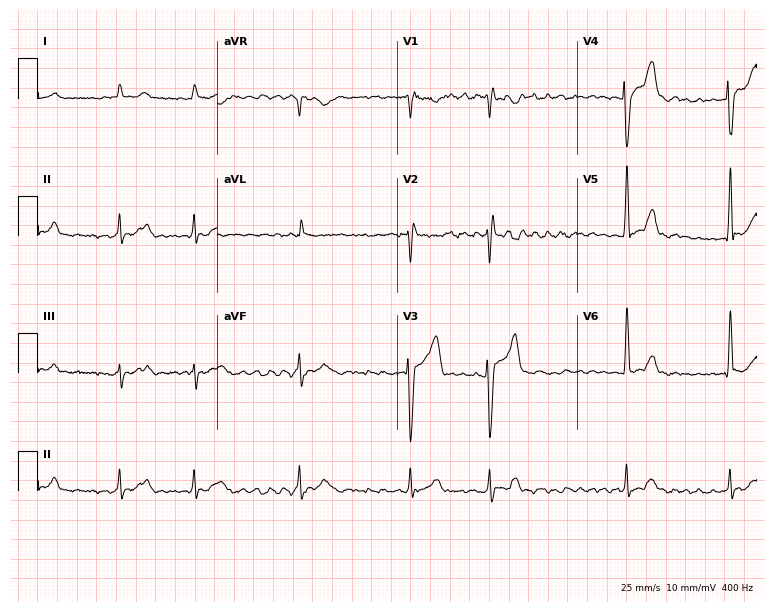
12-lead ECG from a 41-year-old man (7.3-second recording at 400 Hz). Shows atrial fibrillation (AF).